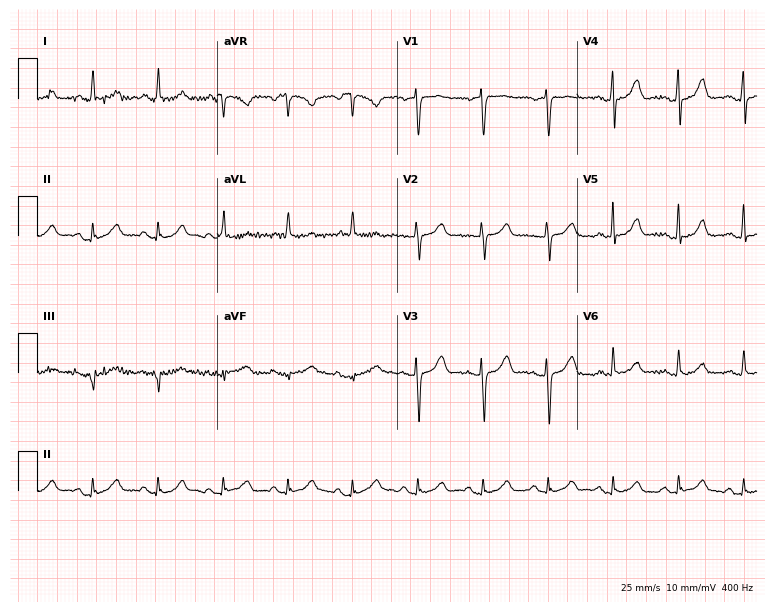
12-lead ECG from a 64-year-old female. Labelled as a normal ECG.